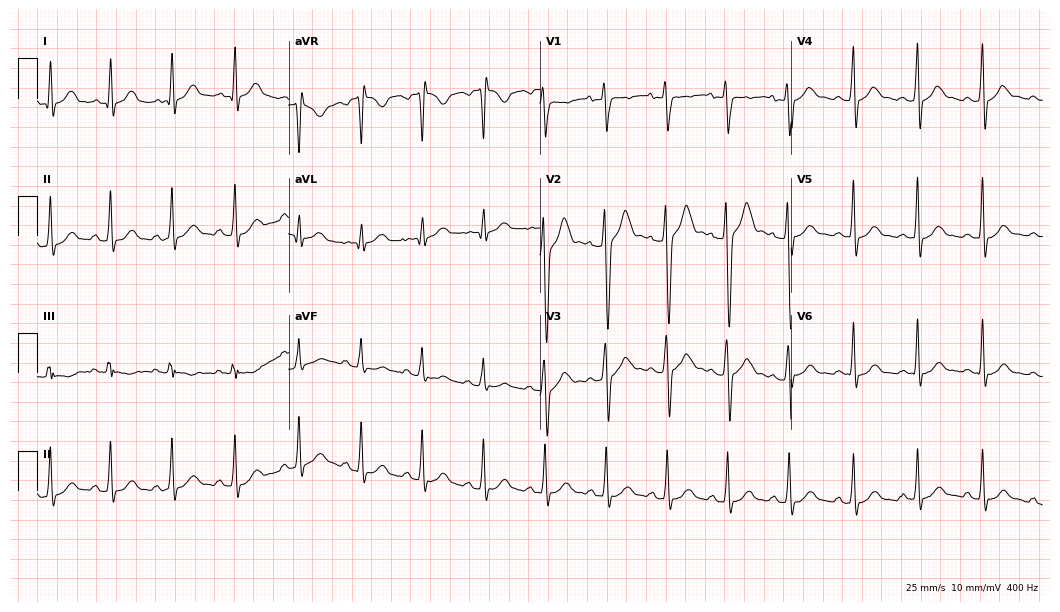
Electrocardiogram, a man, 28 years old. Overall reading on record: normal ECG.